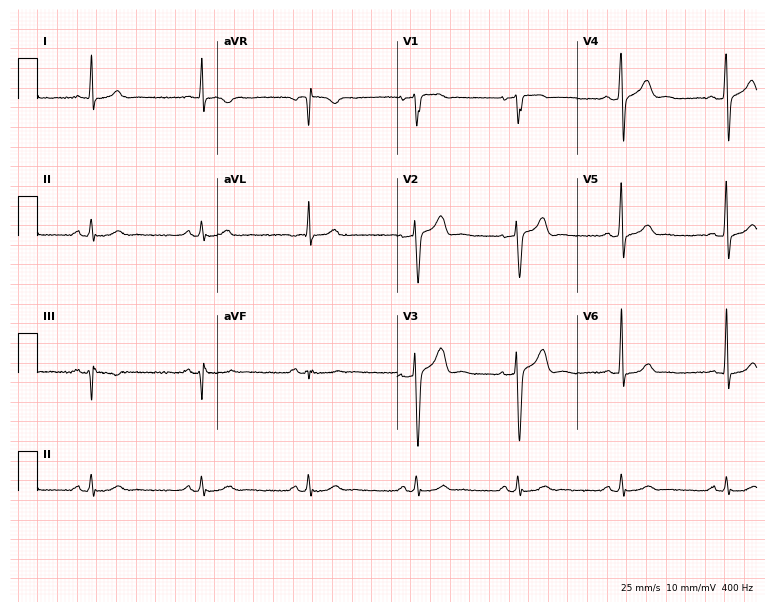
Resting 12-lead electrocardiogram (7.3-second recording at 400 Hz). Patient: a male, 32 years old. Read as a normal ECG.